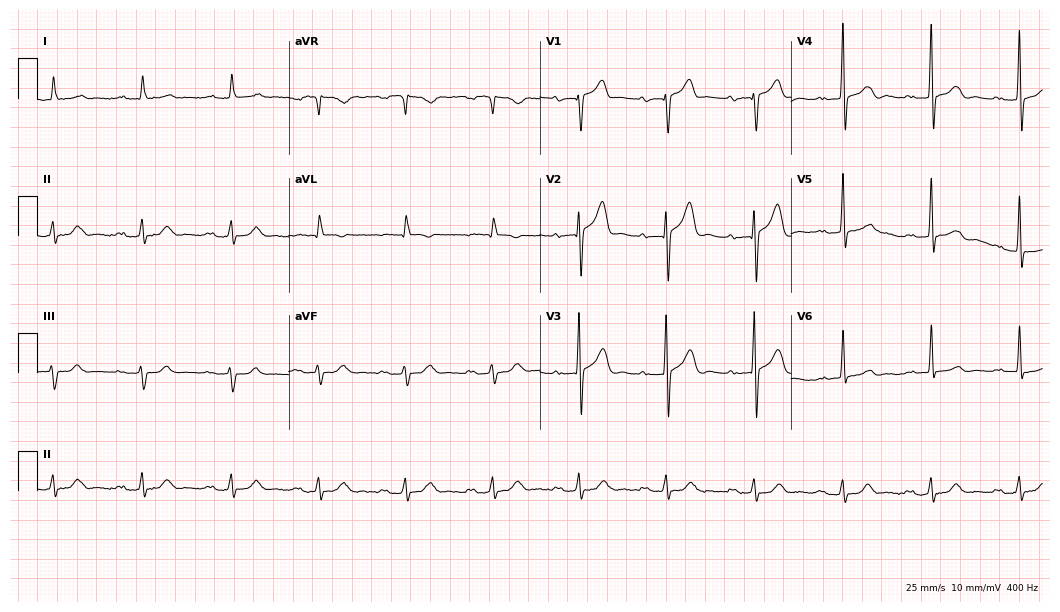
Resting 12-lead electrocardiogram (10.2-second recording at 400 Hz). Patient: a male, 75 years old. The tracing shows first-degree AV block.